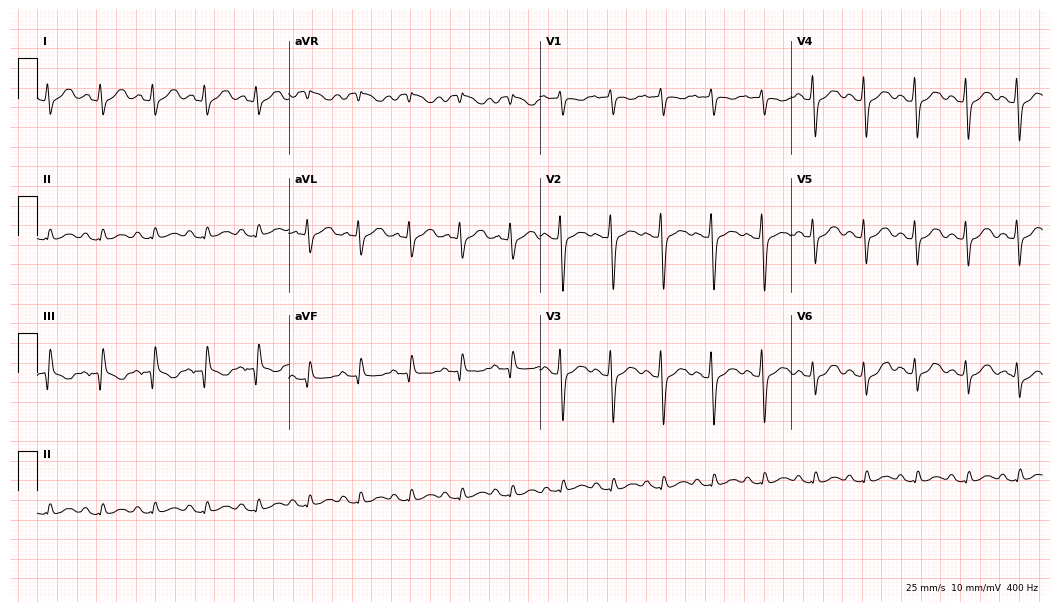
Resting 12-lead electrocardiogram. Patient: a 51-year-old woman. The tracing shows sinus tachycardia (a sinus rate of 100 beats per minute or more).